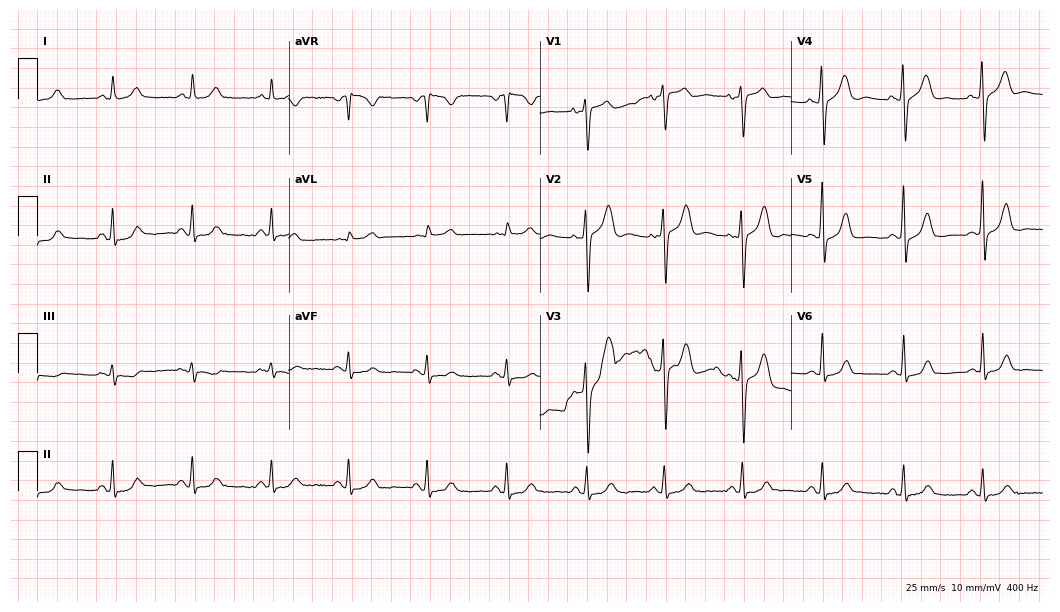
Electrocardiogram, a 47-year-old woman. Overall reading on record: normal ECG.